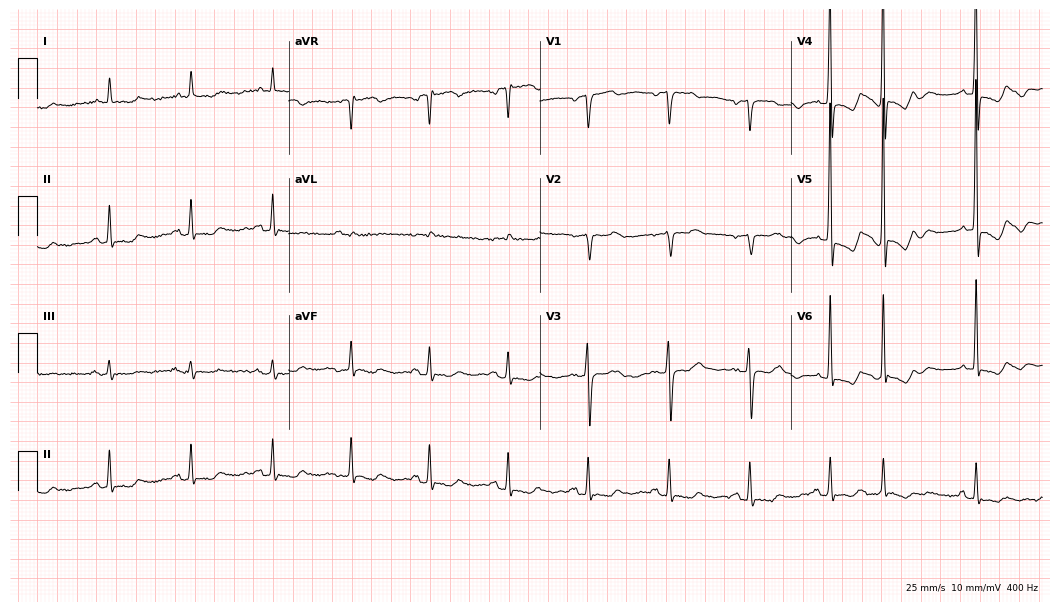
Standard 12-lead ECG recorded from an 84-year-old female. None of these six findings is recorded: first-degree AV block, right bundle branch block, left bundle branch block, sinus bradycardia, atrial fibrillation, sinus tachycardia. Findings outside these six are not listed.